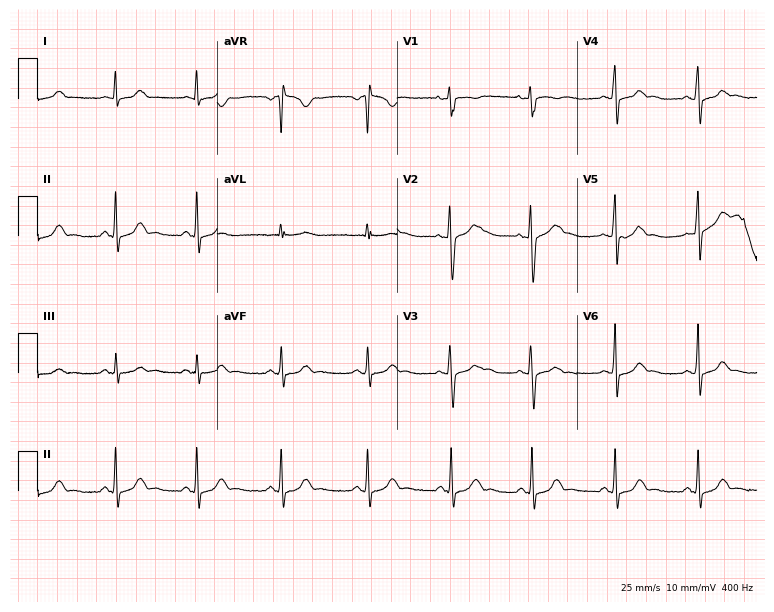
Resting 12-lead electrocardiogram. Patient: a 20-year-old female. Read as a normal ECG.